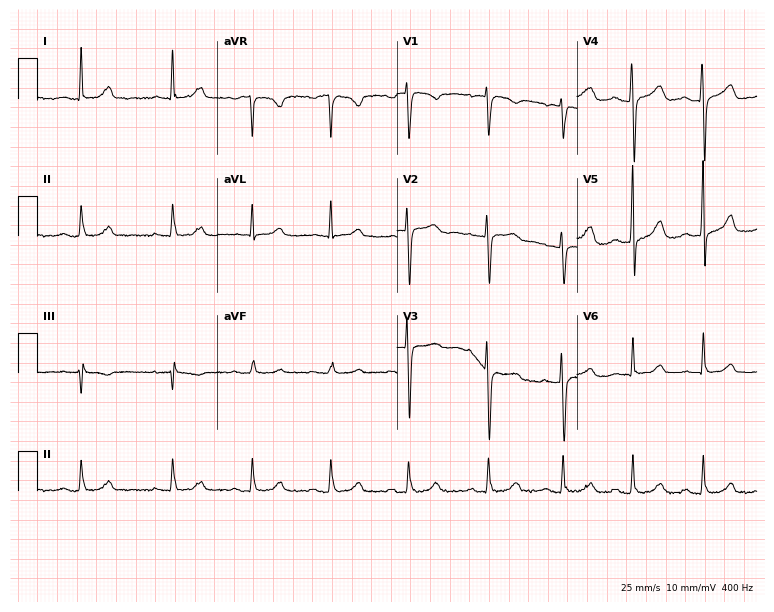
ECG (7.3-second recording at 400 Hz) — a female patient, 53 years old. Screened for six findings — first-degree AV block, right bundle branch block (RBBB), left bundle branch block (LBBB), sinus bradycardia, atrial fibrillation (AF), sinus tachycardia — none is recorded.